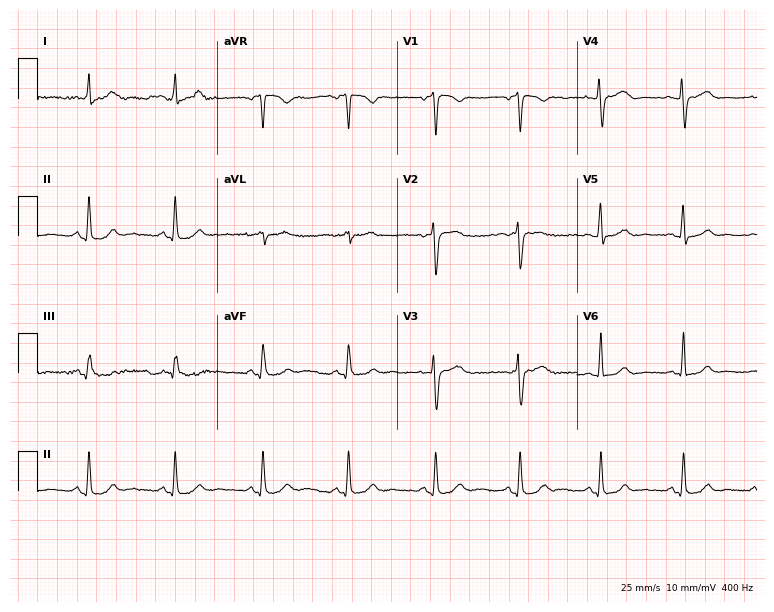
ECG — a male, 65 years old. Labelled as a normal ECG.